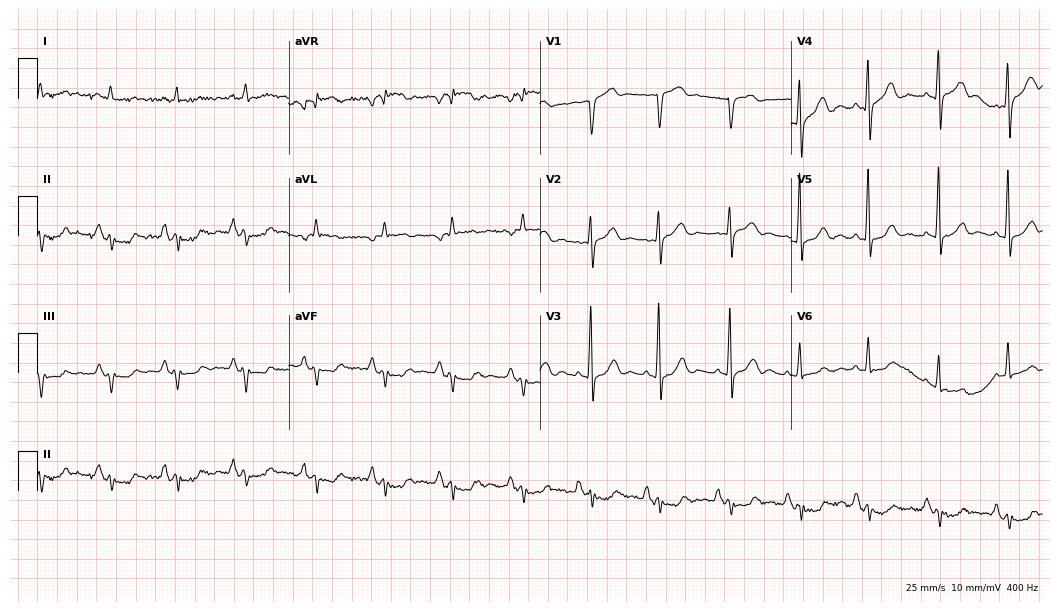
Resting 12-lead electrocardiogram (10.2-second recording at 400 Hz). Patient: a 70-year-old male. None of these six findings is recorded: first-degree AV block, right bundle branch block, left bundle branch block, sinus bradycardia, atrial fibrillation, sinus tachycardia. Only these six findings were labelled.